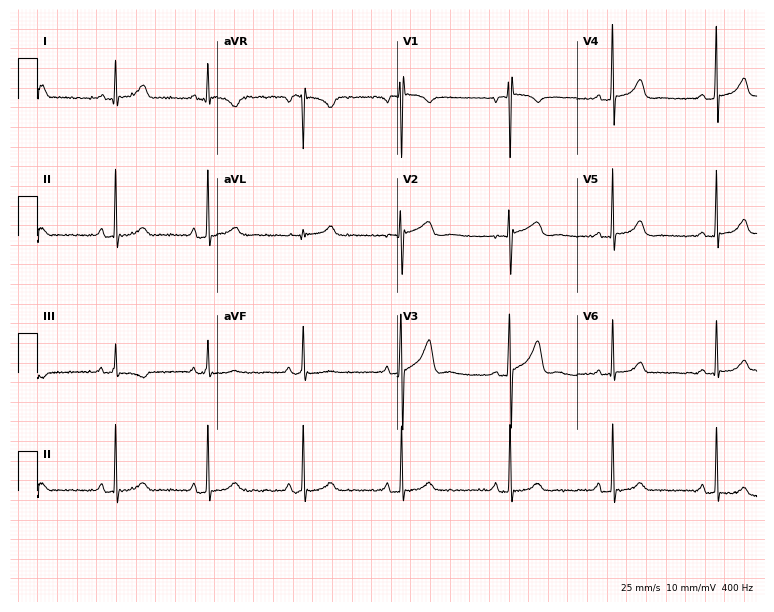
12-lead ECG from a 26-year-old man (7.3-second recording at 400 Hz). No first-degree AV block, right bundle branch block, left bundle branch block, sinus bradycardia, atrial fibrillation or sinus tachycardia recorded for this tracing.